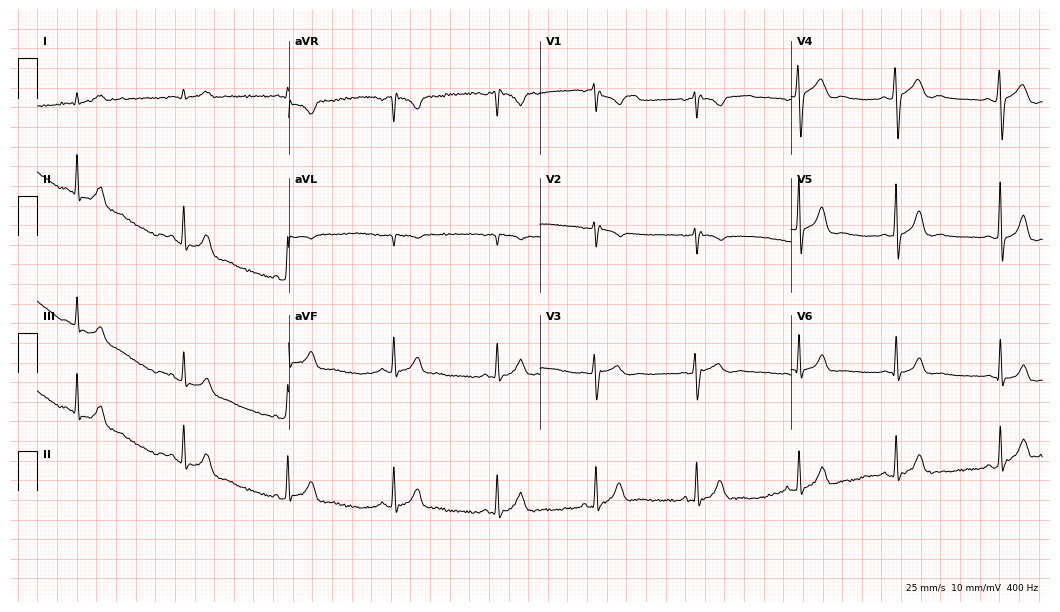
Resting 12-lead electrocardiogram. Patient: a man, 20 years old. Read as a normal ECG.